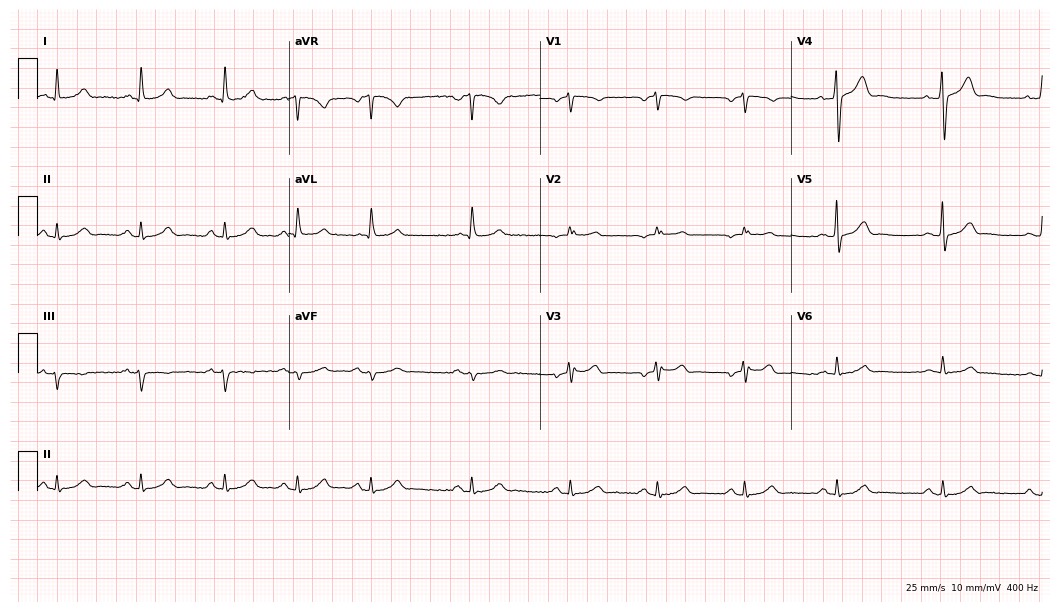
ECG — a 36-year-old male. Labelled as a normal ECG.